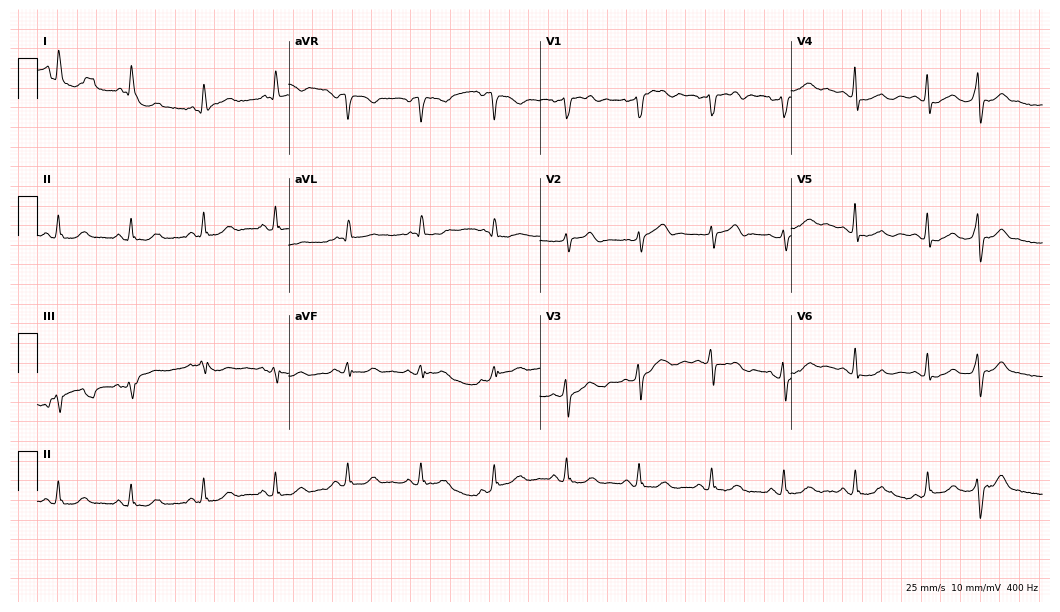
Resting 12-lead electrocardiogram (10.2-second recording at 400 Hz). Patient: a 72-year-old woman. None of these six findings is recorded: first-degree AV block, right bundle branch block (RBBB), left bundle branch block (LBBB), sinus bradycardia, atrial fibrillation (AF), sinus tachycardia. Only these six findings were labelled.